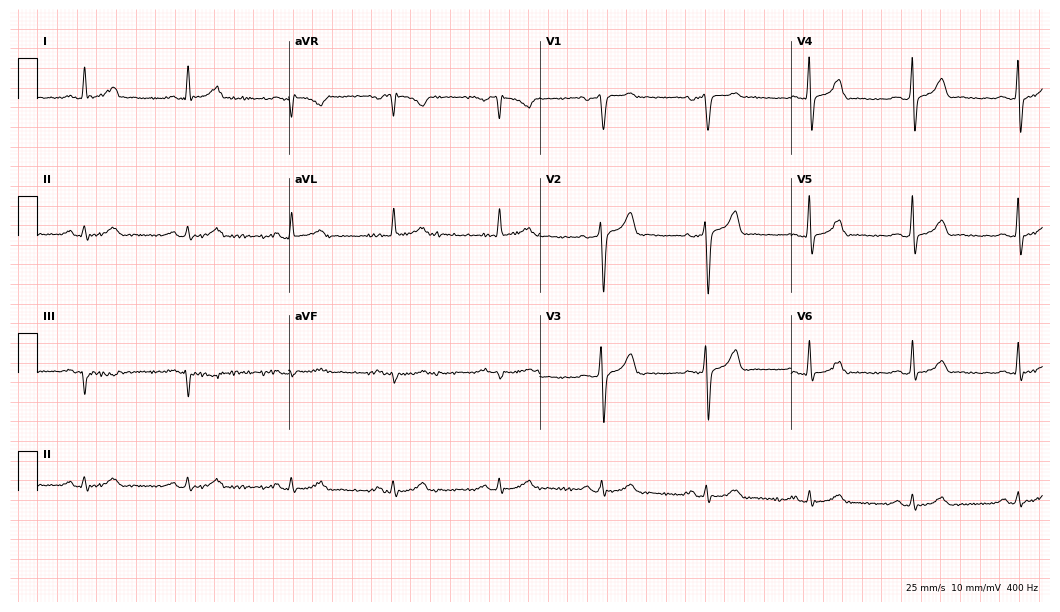
12-lead ECG (10.2-second recording at 400 Hz) from a man, 64 years old. Screened for six findings — first-degree AV block, right bundle branch block, left bundle branch block, sinus bradycardia, atrial fibrillation, sinus tachycardia — none is recorded.